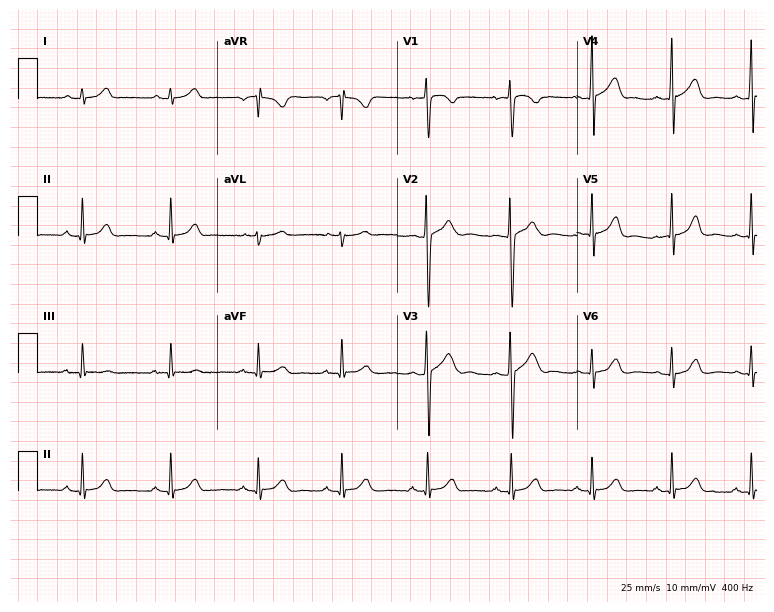
Electrocardiogram, a 17-year-old woman. Overall reading on record: normal ECG.